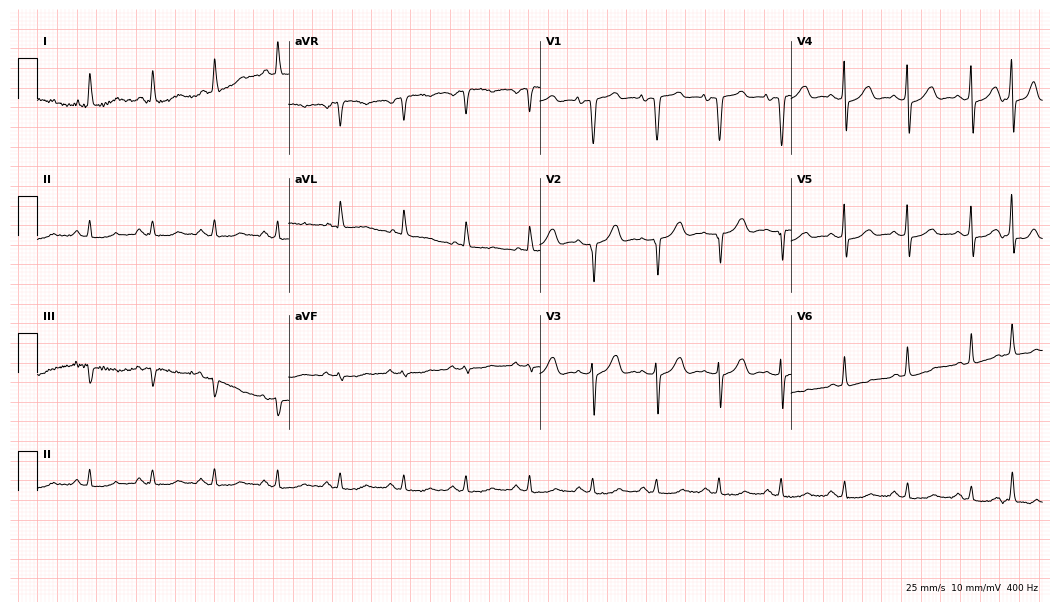
12-lead ECG from an 83-year-old female. No first-degree AV block, right bundle branch block, left bundle branch block, sinus bradycardia, atrial fibrillation or sinus tachycardia recorded for this tracing.